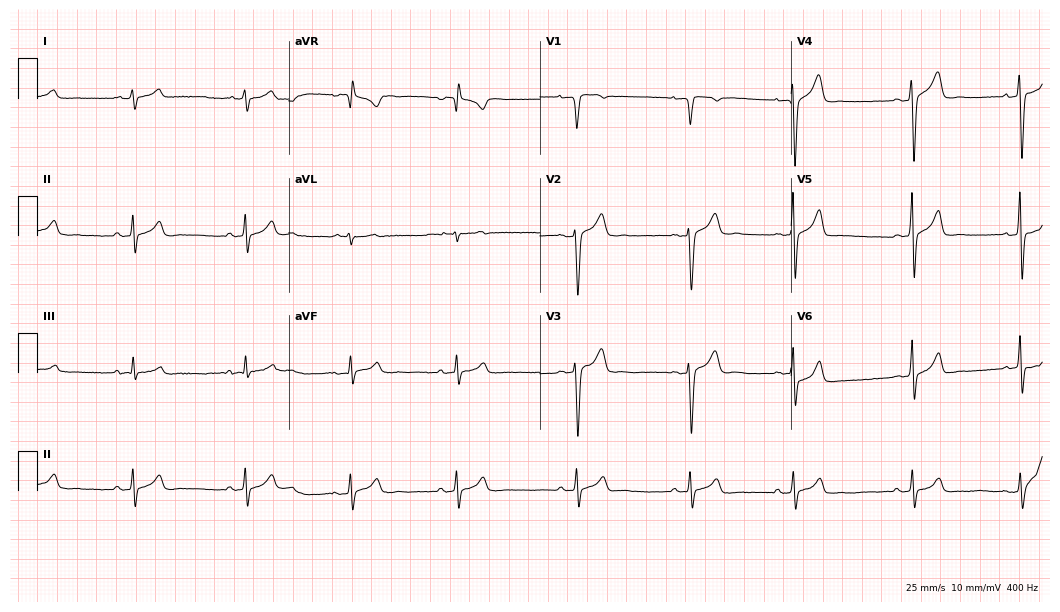
Electrocardiogram, a male patient, 21 years old. Overall reading on record: normal ECG.